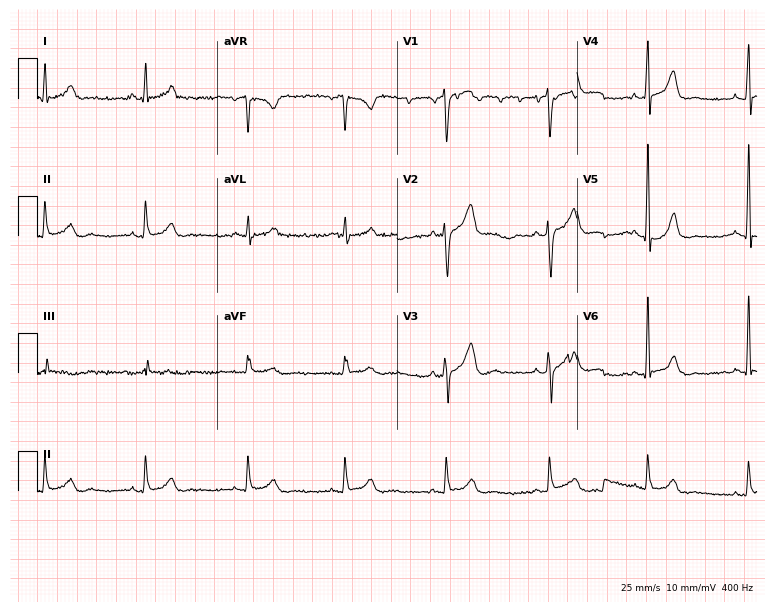
12-lead ECG (7.3-second recording at 400 Hz) from a male, 48 years old. Labelled as a normal ECG.